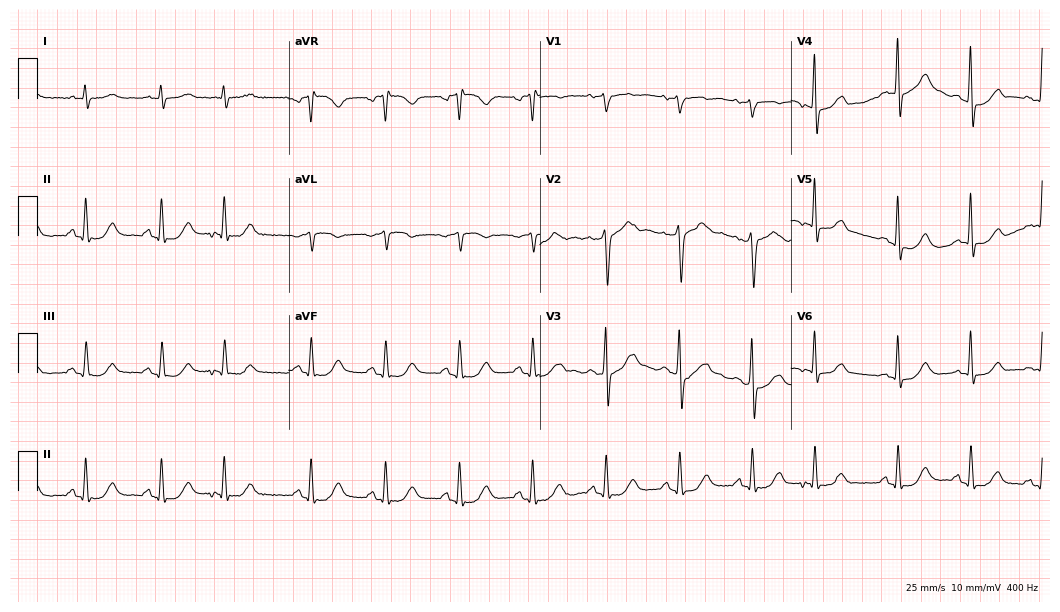
Electrocardiogram, a 66-year-old male. Overall reading on record: normal ECG.